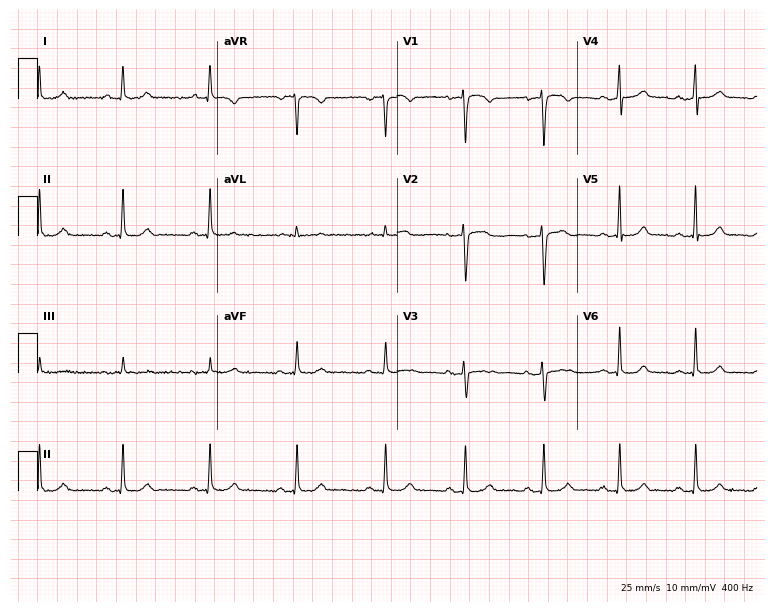
Electrocardiogram (7.3-second recording at 400 Hz), a female patient, 34 years old. Overall reading on record: normal ECG.